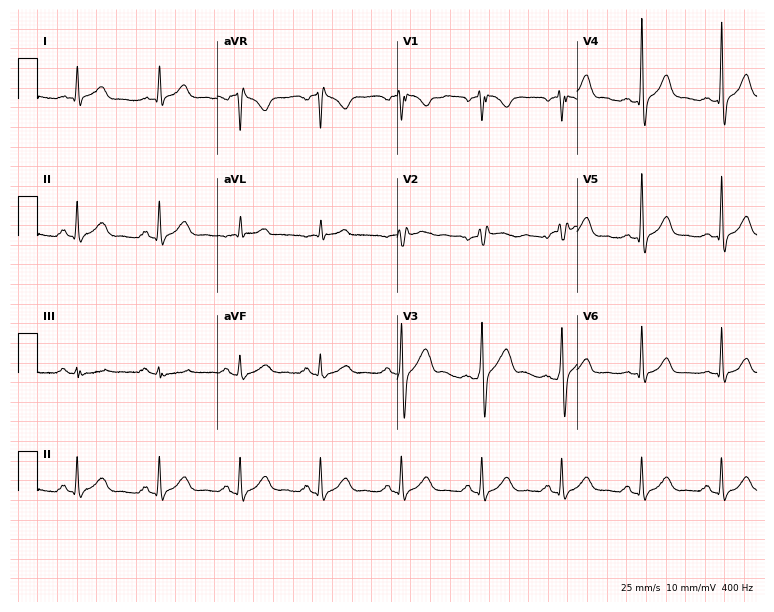
Standard 12-lead ECG recorded from a man, 60 years old. None of these six findings is recorded: first-degree AV block, right bundle branch block, left bundle branch block, sinus bradycardia, atrial fibrillation, sinus tachycardia.